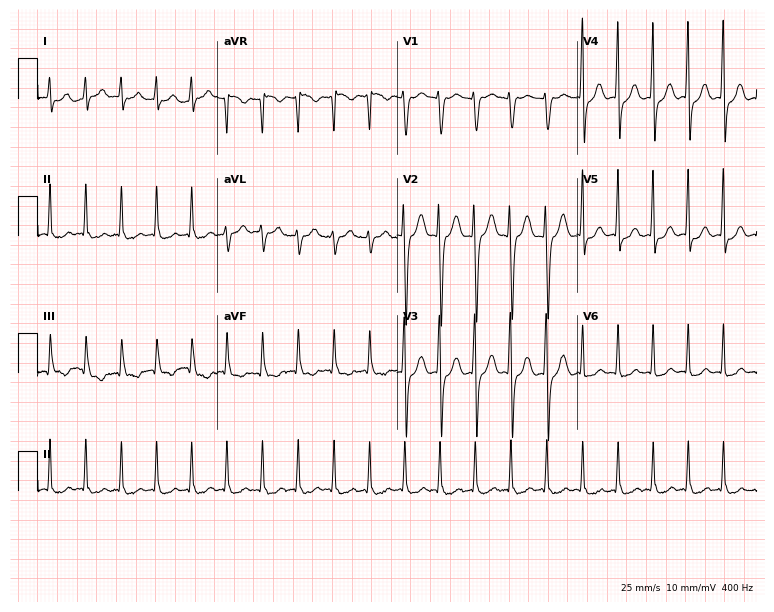
Standard 12-lead ECG recorded from a woman, 40 years old (7.3-second recording at 400 Hz). The tracing shows sinus tachycardia (a sinus rate of 100 beats per minute or more).